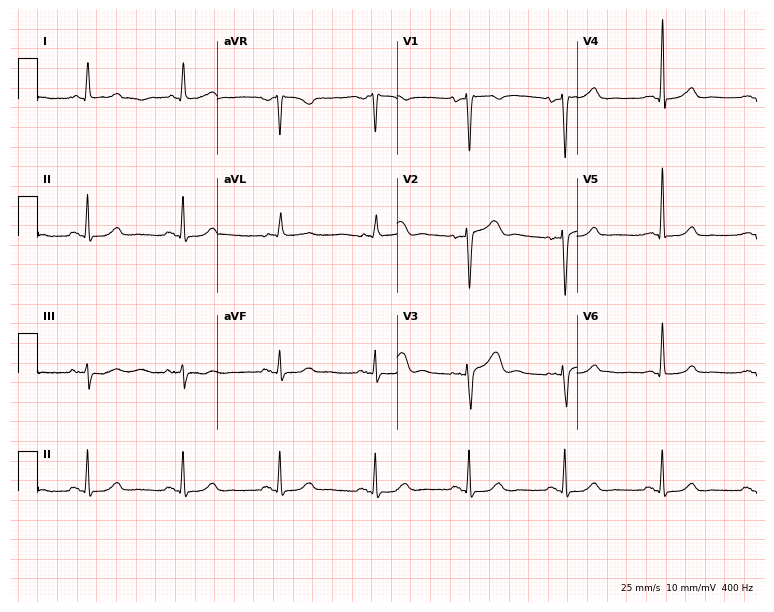
Resting 12-lead electrocardiogram. Patient: a 65-year-old female. Read as a normal ECG.